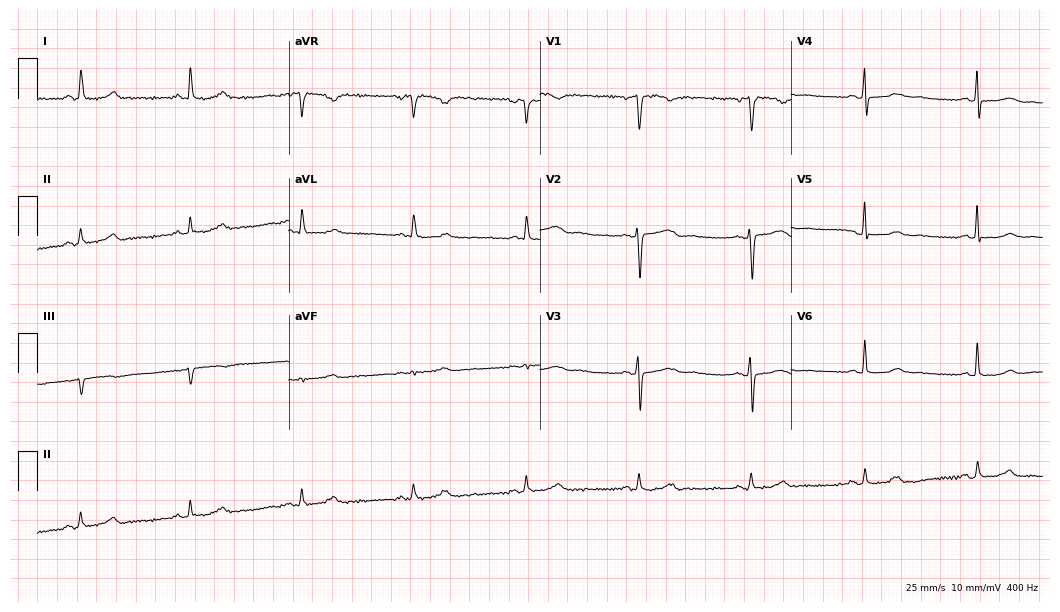
12-lead ECG from a 57-year-old female patient. Recorded interpretation: within normal limits.